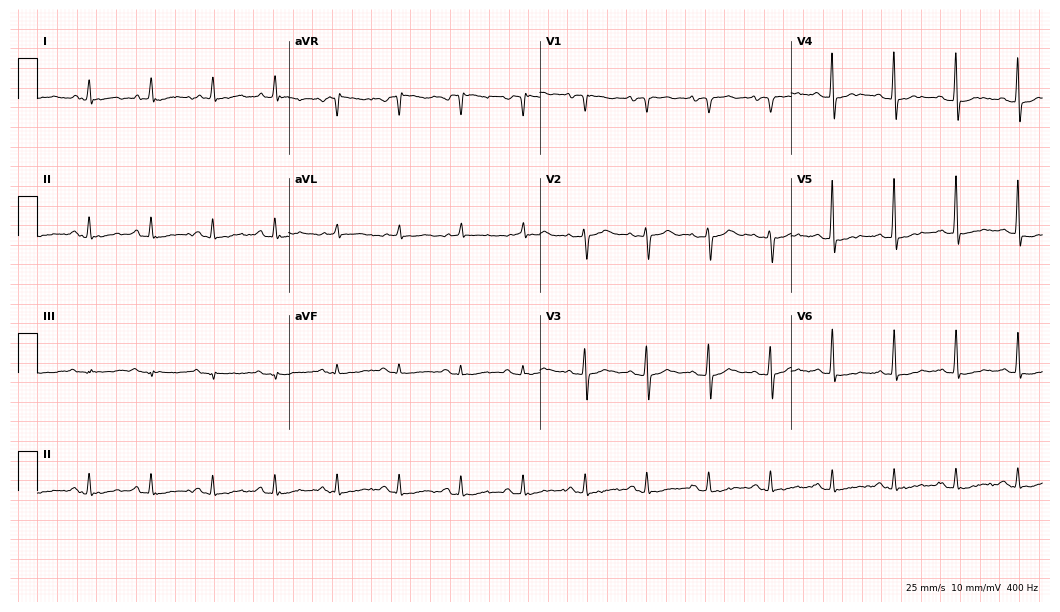
Standard 12-lead ECG recorded from a male, 77 years old (10.2-second recording at 400 Hz). None of these six findings is recorded: first-degree AV block, right bundle branch block, left bundle branch block, sinus bradycardia, atrial fibrillation, sinus tachycardia. Other findings, if any, are not listed.